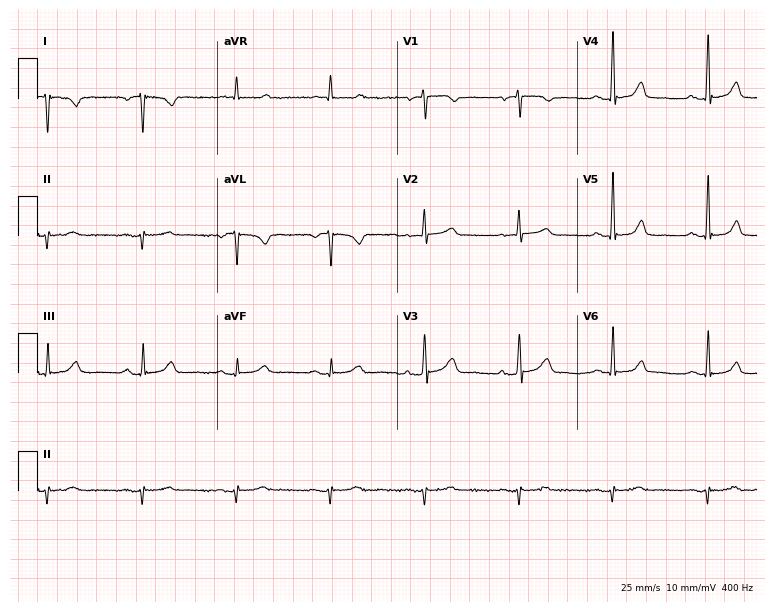
Electrocardiogram (7.3-second recording at 400 Hz), a woman, 67 years old. Of the six screened findings (first-degree AV block, right bundle branch block (RBBB), left bundle branch block (LBBB), sinus bradycardia, atrial fibrillation (AF), sinus tachycardia), none is recorded. Findings outside these six are not listed.